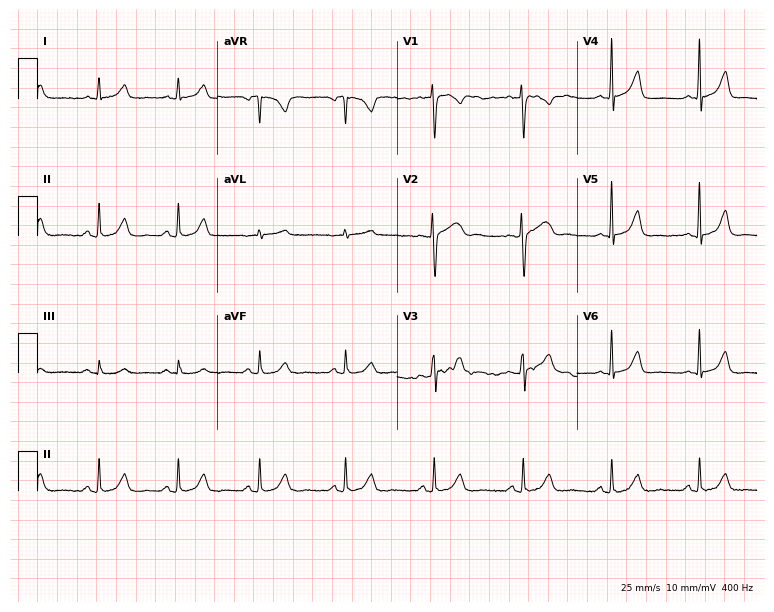
12-lead ECG from a 41-year-old female patient. No first-degree AV block, right bundle branch block (RBBB), left bundle branch block (LBBB), sinus bradycardia, atrial fibrillation (AF) or sinus tachycardia recorded for this tracing.